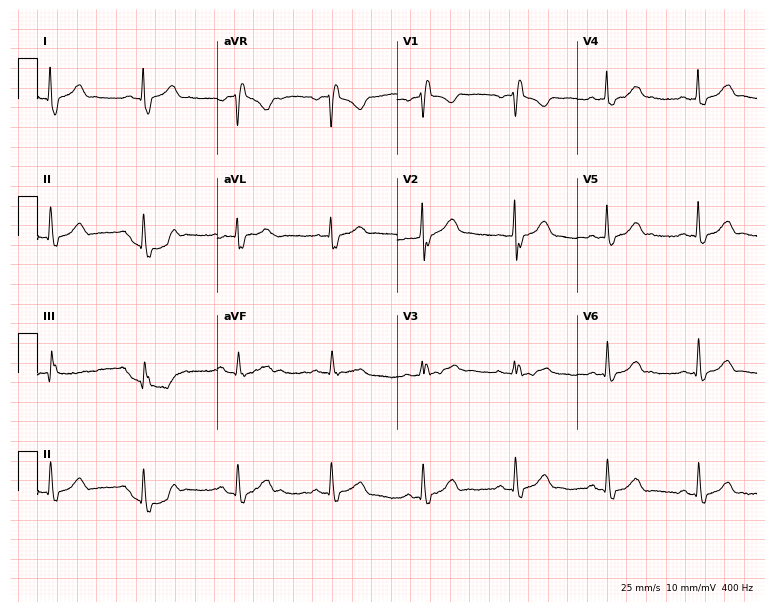
Electrocardiogram (7.3-second recording at 400 Hz), a 61-year-old male patient. Interpretation includes right bundle branch block.